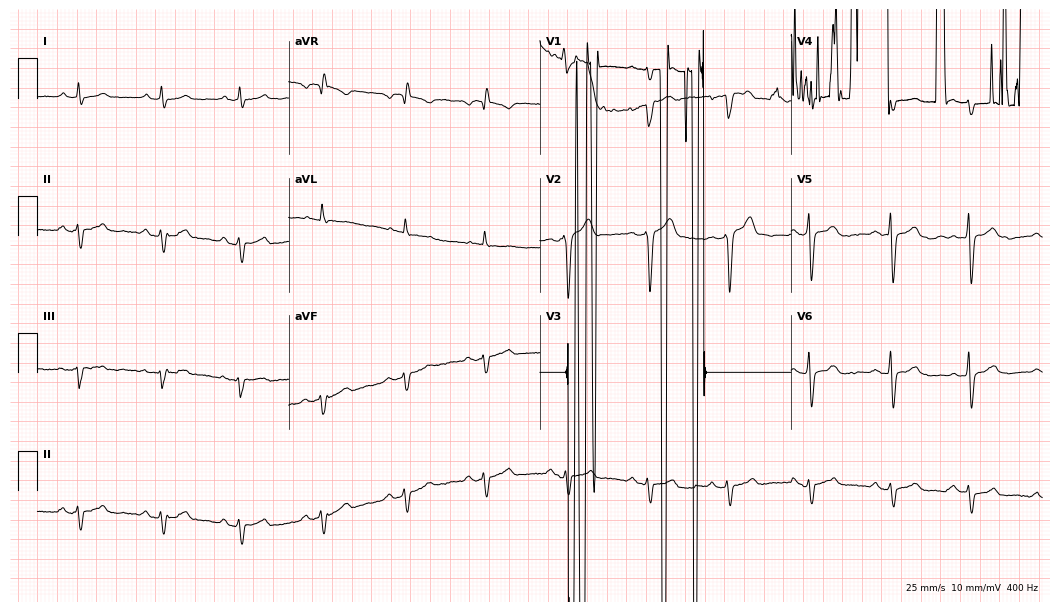
12-lead ECG (10.2-second recording at 400 Hz) from a 38-year-old woman. Screened for six findings — first-degree AV block, right bundle branch block (RBBB), left bundle branch block (LBBB), sinus bradycardia, atrial fibrillation (AF), sinus tachycardia — none is recorded. Other findings, if any, are not listed.